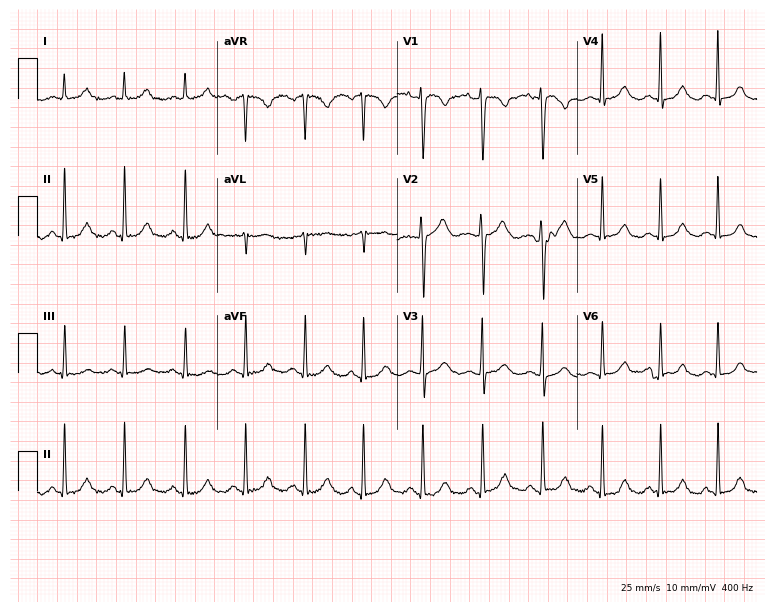
Electrocardiogram (7.3-second recording at 400 Hz), a 36-year-old female patient. Overall reading on record: normal ECG.